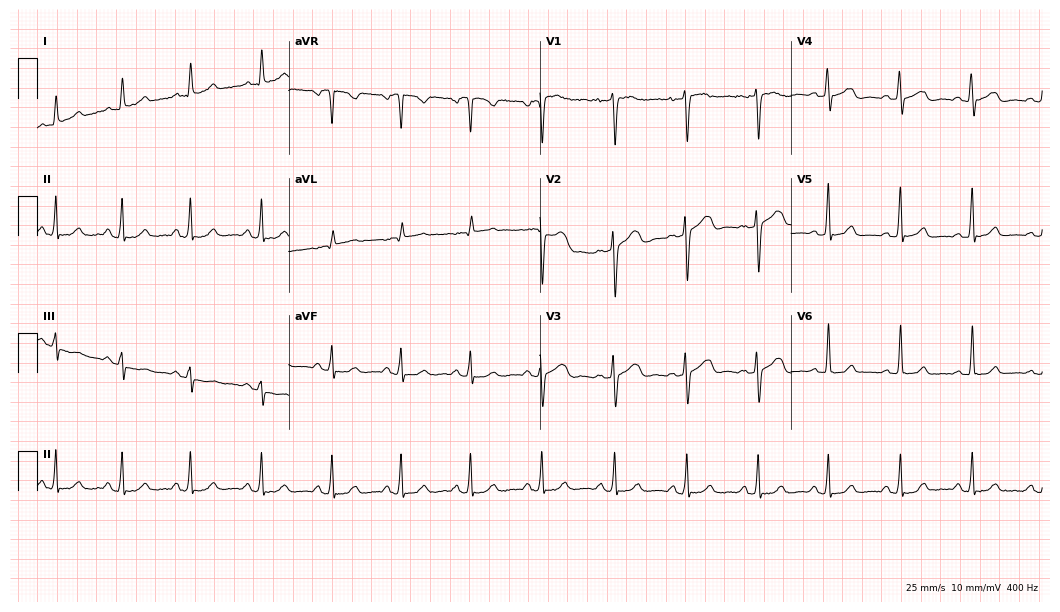
ECG (10.2-second recording at 400 Hz) — a 36-year-old female. Labelled as a normal ECG.